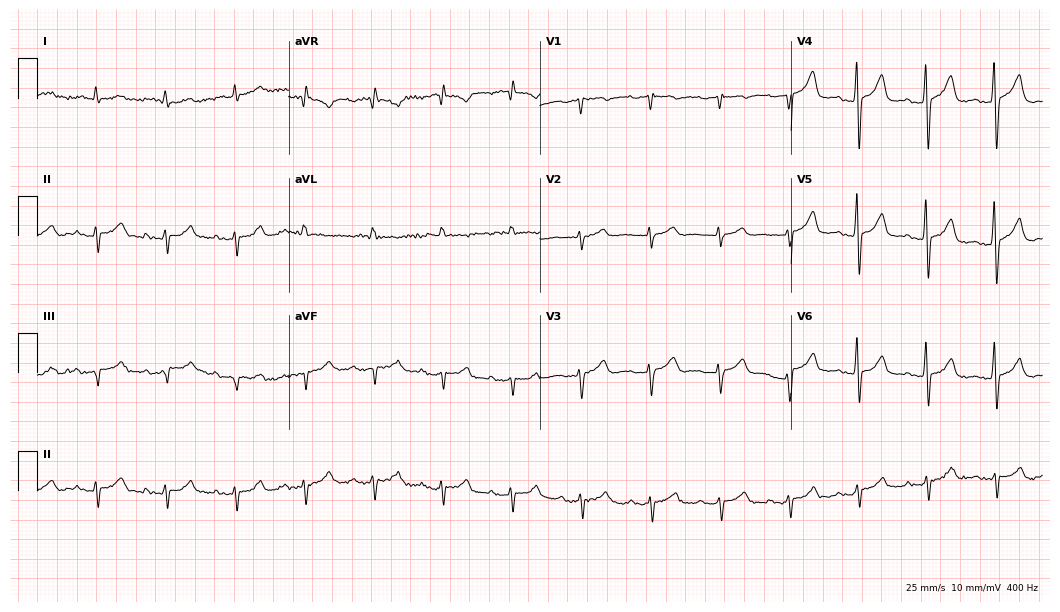
12-lead ECG (10.2-second recording at 400 Hz) from an 81-year-old male patient. Screened for six findings — first-degree AV block, right bundle branch block, left bundle branch block, sinus bradycardia, atrial fibrillation, sinus tachycardia — none is recorded.